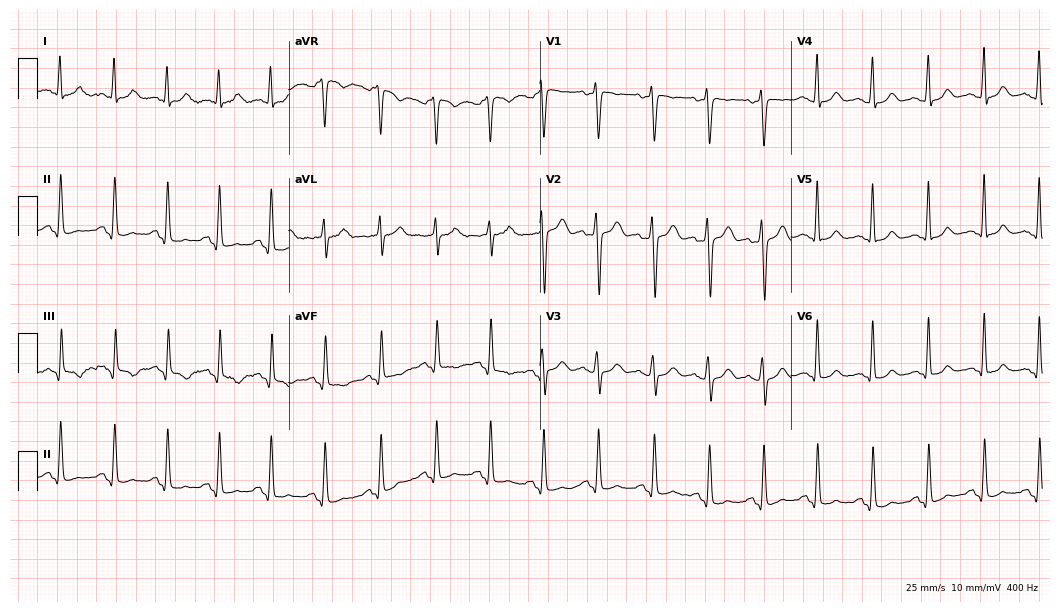
Electrocardiogram (10.2-second recording at 400 Hz), a woman, 21 years old. Of the six screened findings (first-degree AV block, right bundle branch block, left bundle branch block, sinus bradycardia, atrial fibrillation, sinus tachycardia), none is recorded. Only these six findings were labelled.